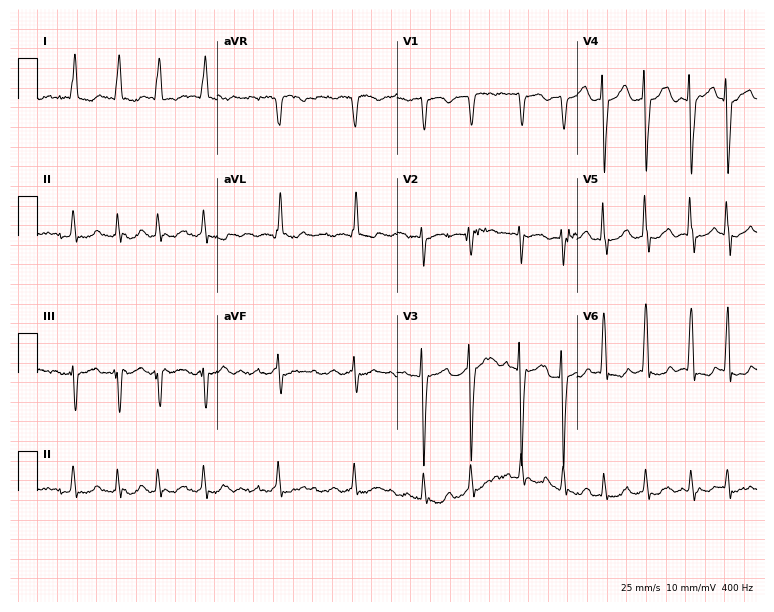
Standard 12-lead ECG recorded from a woman, 76 years old (7.3-second recording at 400 Hz). The tracing shows atrial fibrillation (AF).